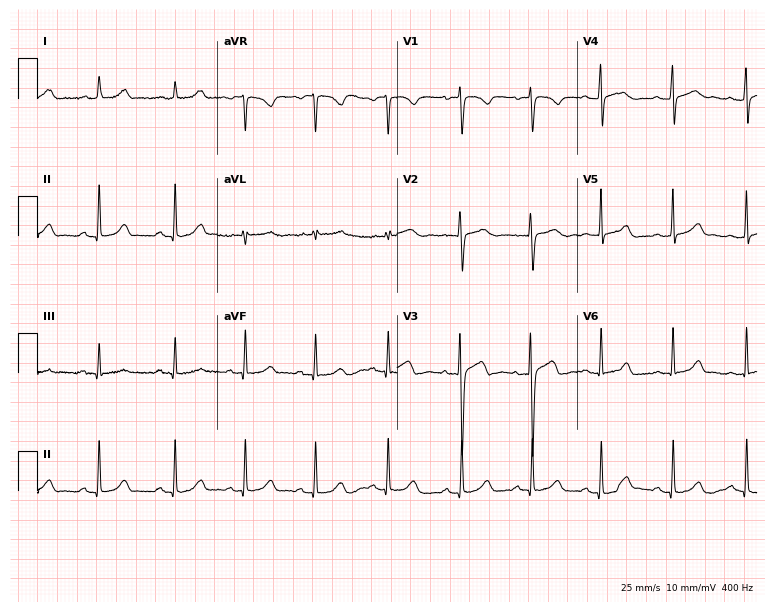
Electrocardiogram, a 30-year-old woman. Of the six screened findings (first-degree AV block, right bundle branch block, left bundle branch block, sinus bradycardia, atrial fibrillation, sinus tachycardia), none is recorded.